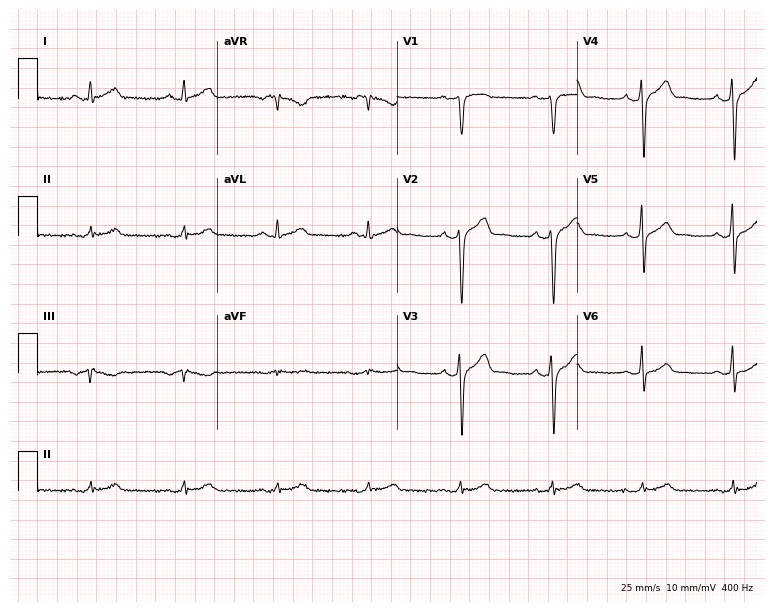
Electrocardiogram, a 53-year-old man. Of the six screened findings (first-degree AV block, right bundle branch block, left bundle branch block, sinus bradycardia, atrial fibrillation, sinus tachycardia), none is recorded.